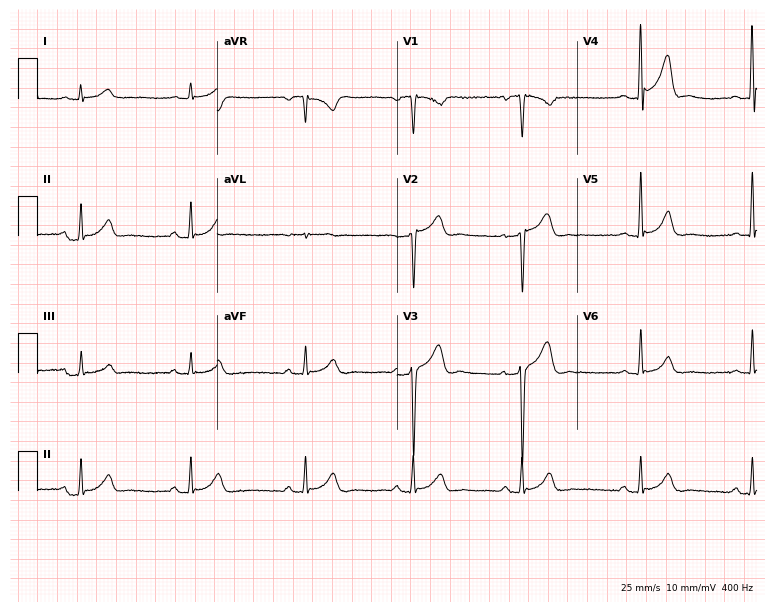
Electrocardiogram, a male, 37 years old. Of the six screened findings (first-degree AV block, right bundle branch block (RBBB), left bundle branch block (LBBB), sinus bradycardia, atrial fibrillation (AF), sinus tachycardia), none is recorded. Other findings, if any, are not listed.